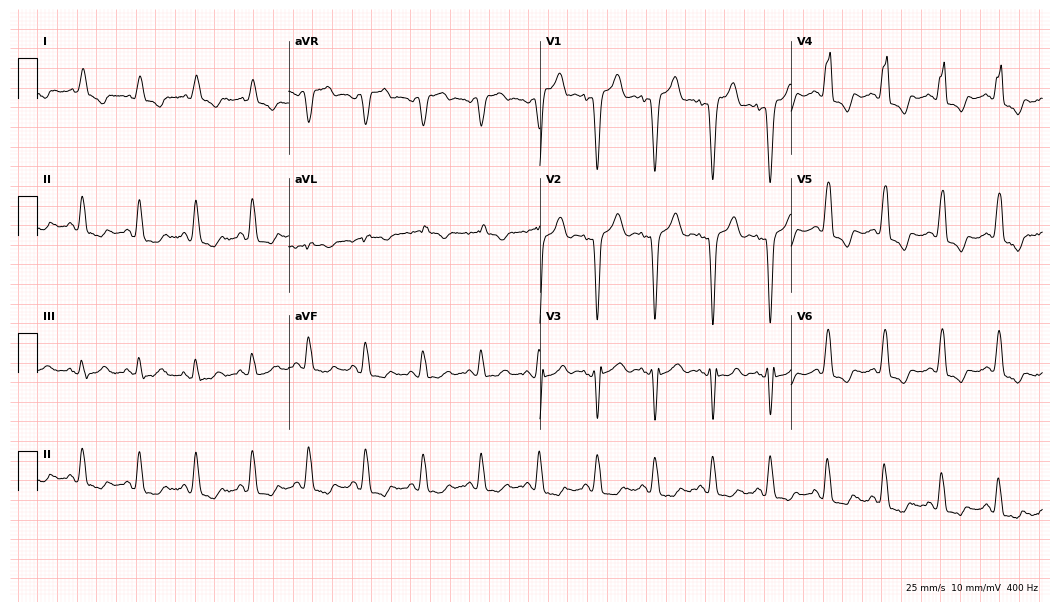
ECG (10.2-second recording at 400 Hz) — an 84-year-old female patient. Findings include sinus tachycardia (a sinus rate of 100 beats per minute or more).